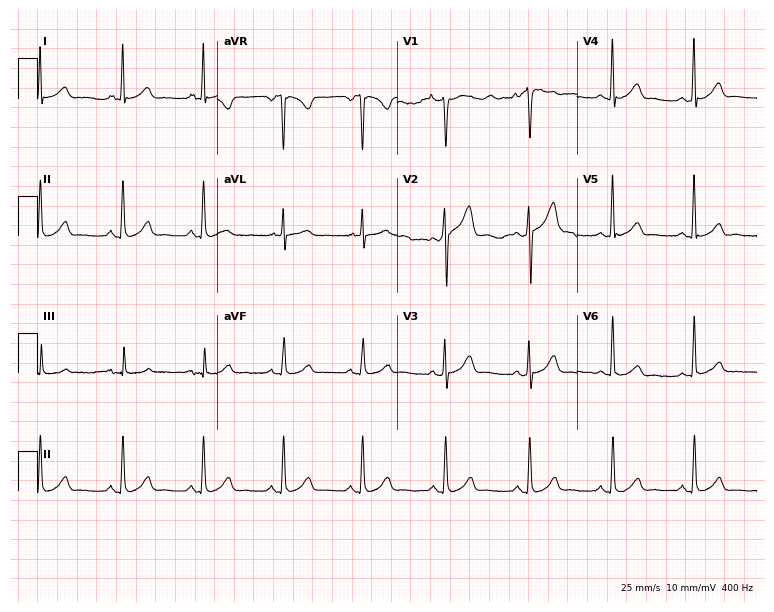
Standard 12-lead ECG recorded from a 46-year-old female (7.3-second recording at 400 Hz). Read as a normal ECG.